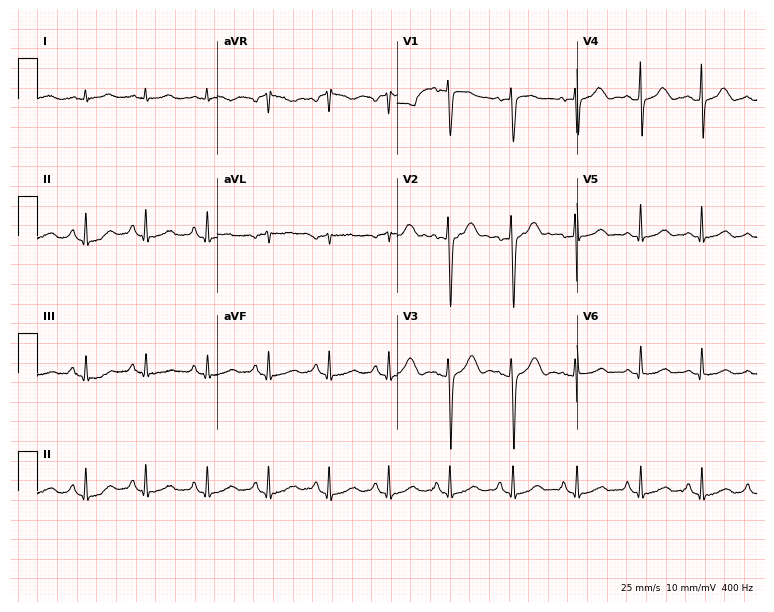
Standard 12-lead ECG recorded from a 33-year-old female (7.3-second recording at 400 Hz). None of these six findings is recorded: first-degree AV block, right bundle branch block (RBBB), left bundle branch block (LBBB), sinus bradycardia, atrial fibrillation (AF), sinus tachycardia.